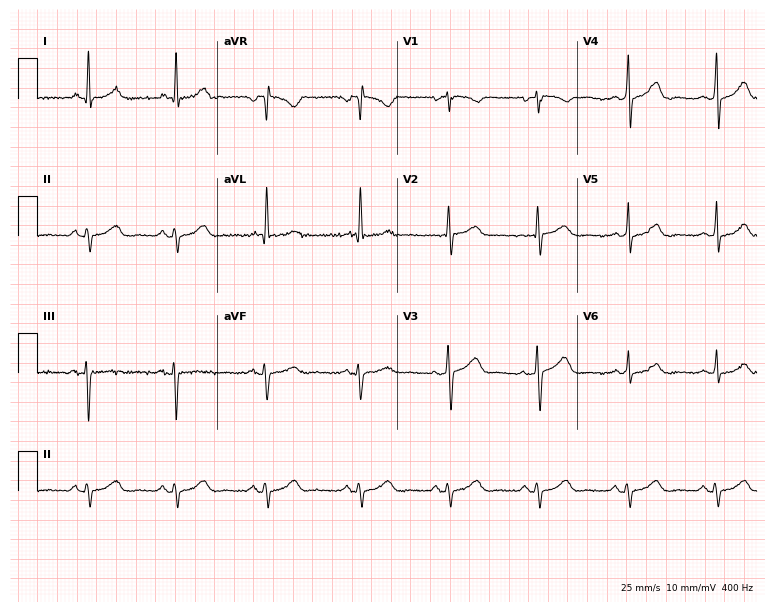
12-lead ECG (7.3-second recording at 400 Hz) from a female patient, 49 years old. Screened for six findings — first-degree AV block, right bundle branch block, left bundle branch block, sinus bradycardia, atrial fibrillation, sinus tachycardia — none is recorded. Other findings, if any, are not listed.